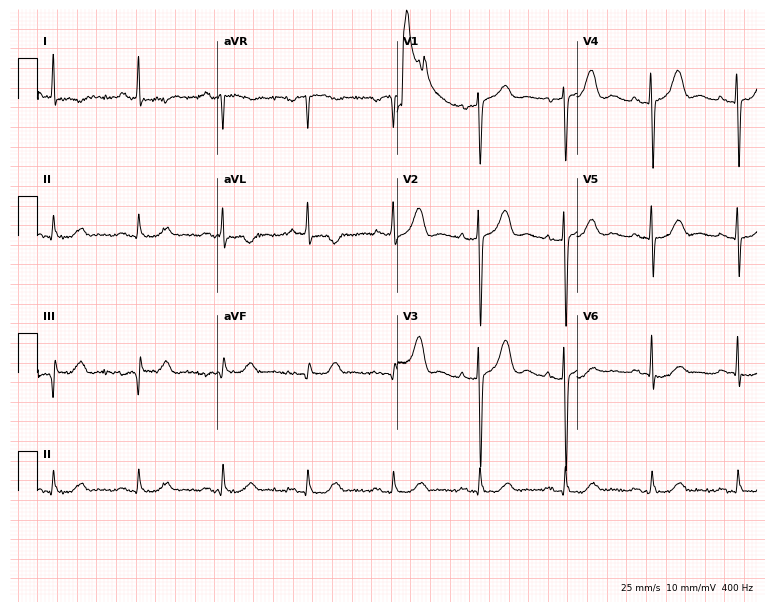
Resting 12-lead electrocardiogram. Patient: a 65-year-old female. Read as a normal ECG.